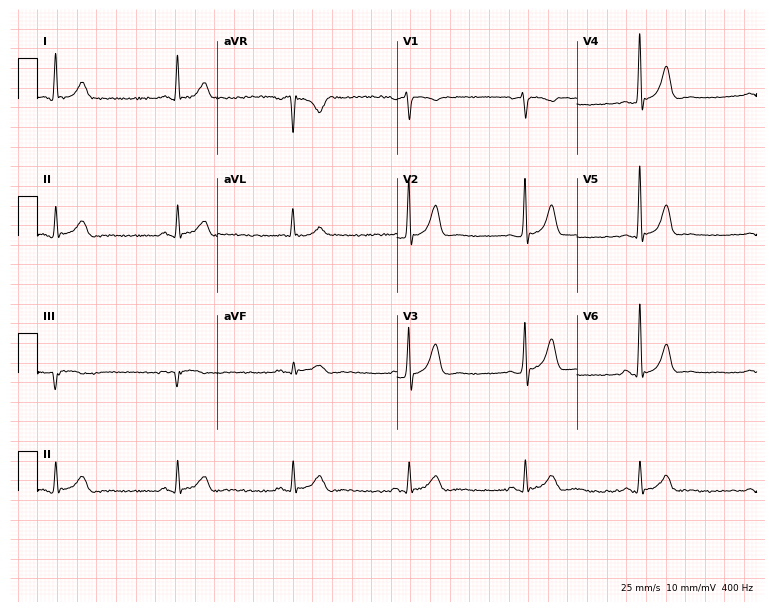
Electrocardiogram, a male patient, 42 years old. Of the six screened findings (first-degree AV block, right bundle branch block, left bundle branch block, sinus bradycardia, atrial fibrillation, sinus tachycardia), none is recorded. Only these six findings were labelled.